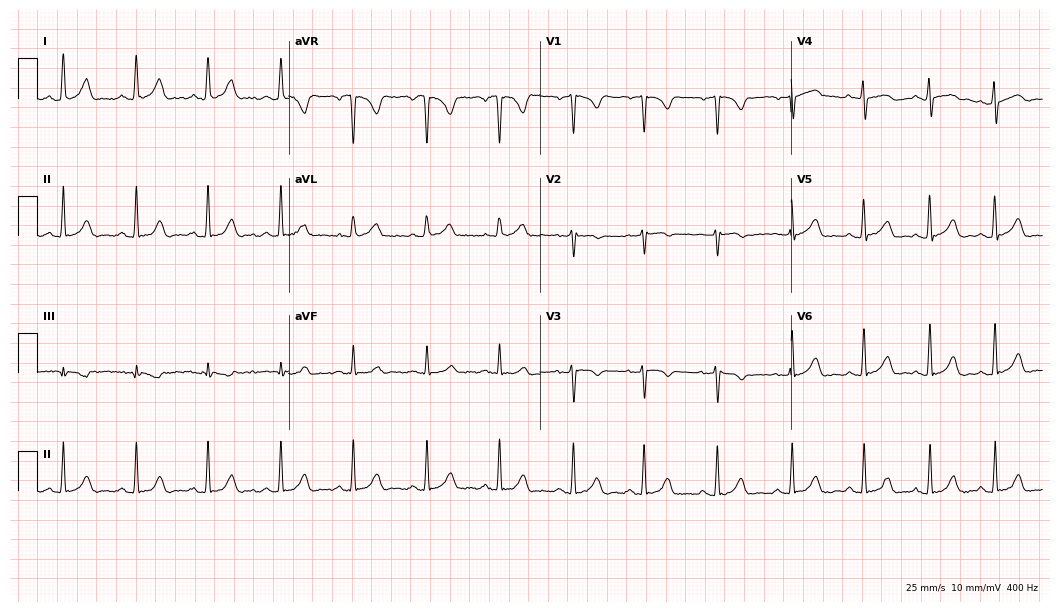
12-lead ECG from a woman, 31 years old. Recorded interpretation: within normal limits.